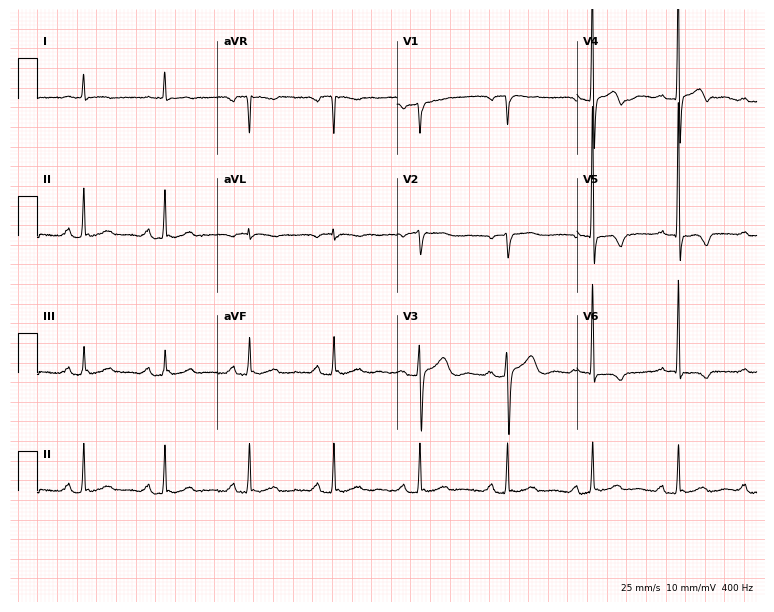
12-lead ECG from an 84-year-old female patient (7.3-second recording at 400 Hz). Shows first-degree AV block.